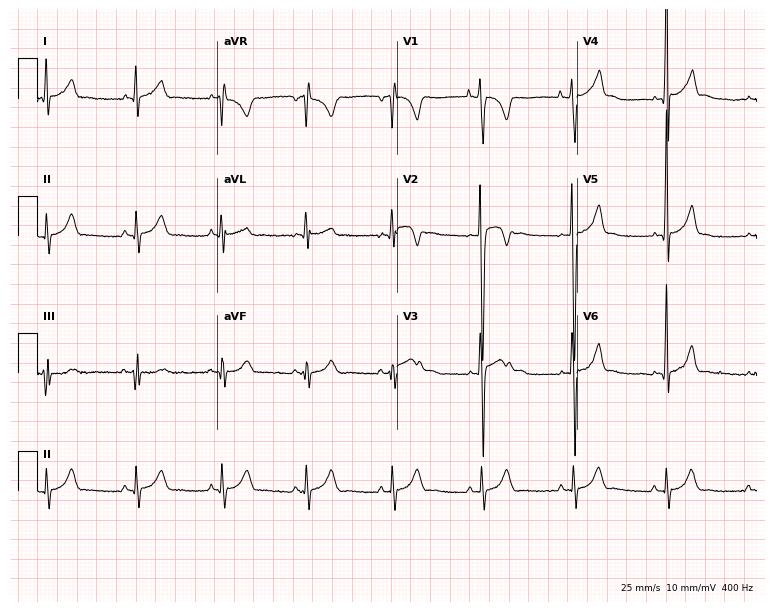
12-lead ECG from a 34-year-old man. Labelled as a normal ECG.